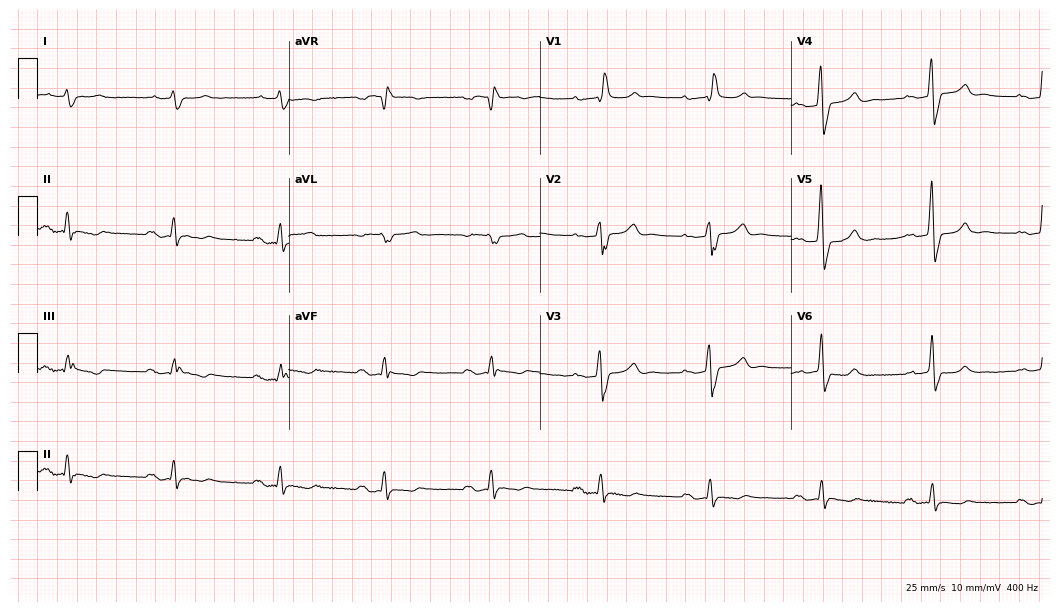
12-lead ECG from a male, 85 years old. Shows first-degree AV block, right bundle branch block.